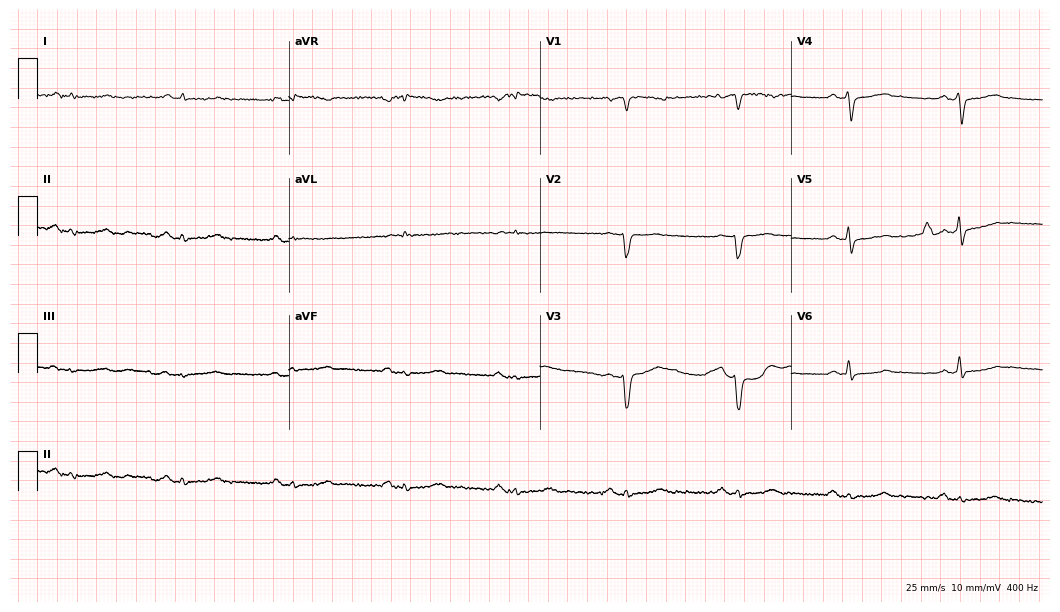
Electrocardiogram, a man, 62 years old. Of the six screened findings (first-degree AV block, right bundle branch block, left bundle branch block, sinus bradycardia, atrial fibrillation, sinus tachycardia), none is recorded.